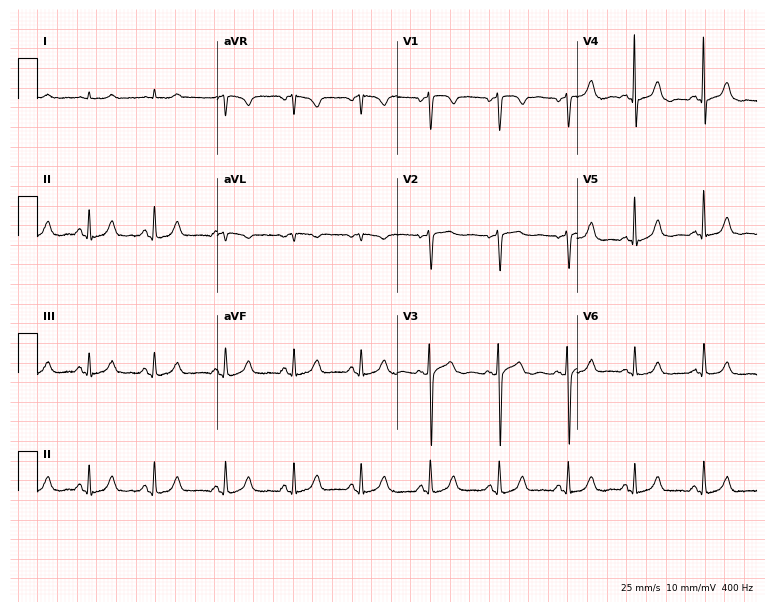
Standard 12-lead ECG recorded from an 84-year-old woman. Read as a normal ECG.